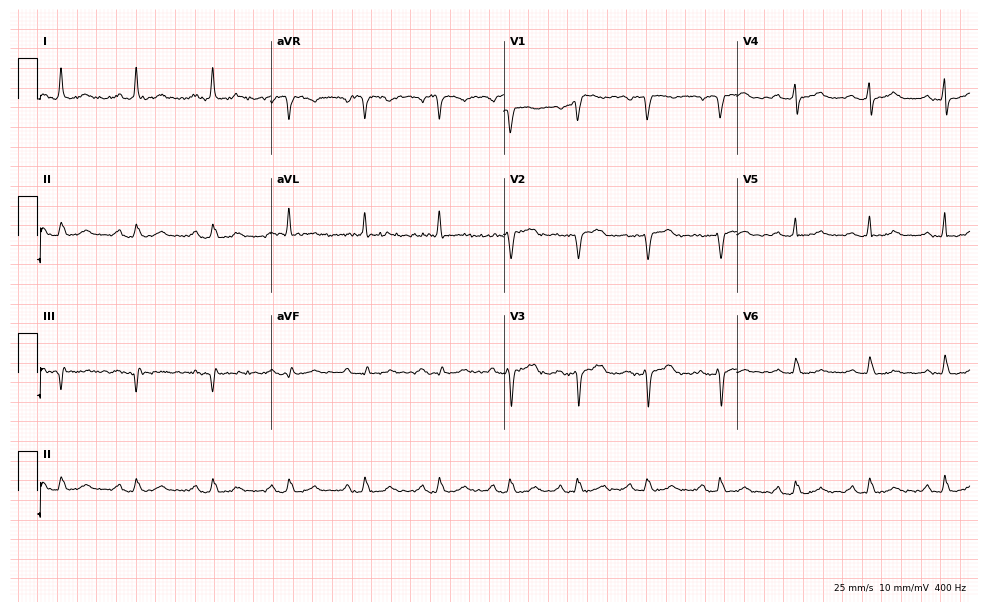
Electrocardiogram, a woman, 53 years old. Overall reading on record: normal ECG.